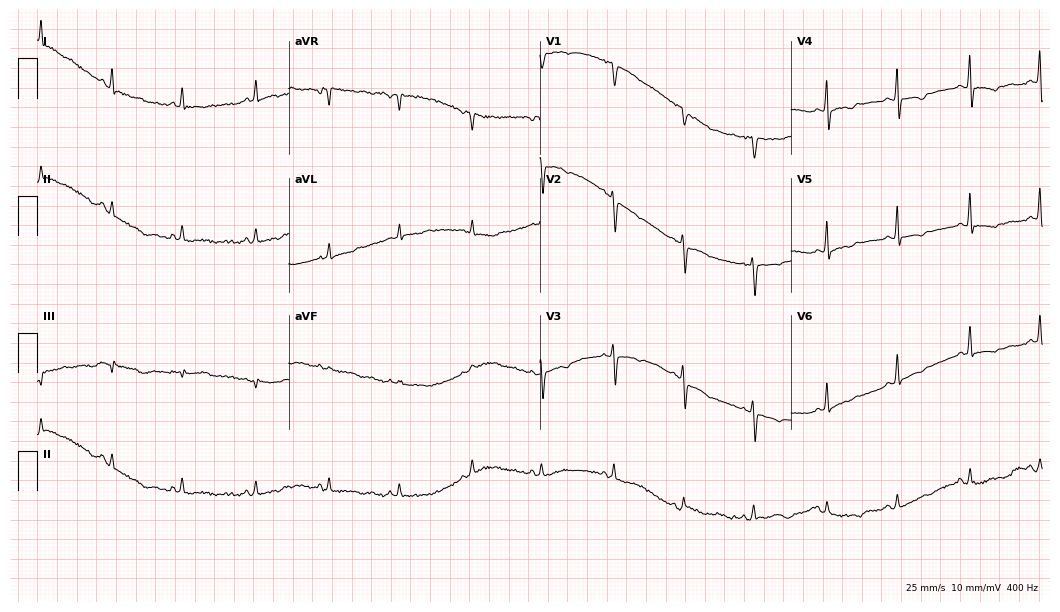
12-lead ECG from a 76-year-old female patient. Labelled as a normal ECG.